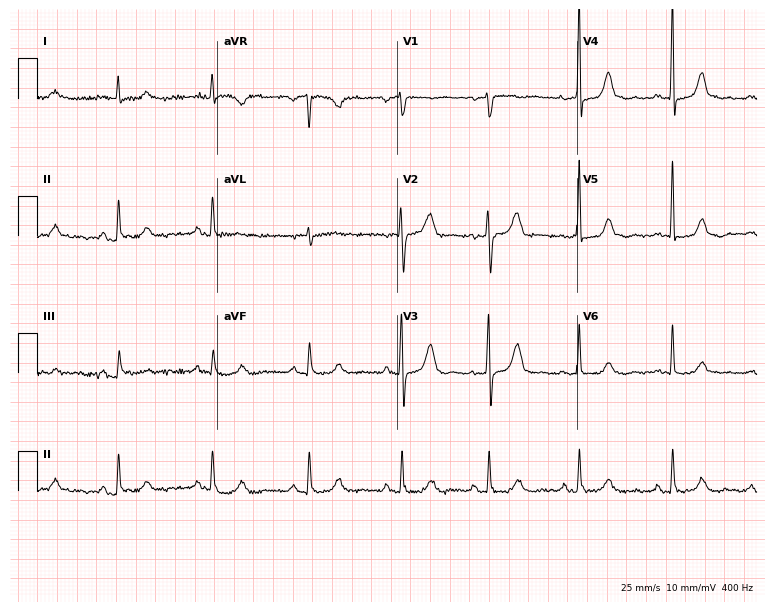
12-lead ECG from a 75-year-old female patient. No first-degree AV block, right bundle branch block, left bundle branch block, sinus bradycardia, atrial fibrillation or sinus tachycardia recorded for this tracing.